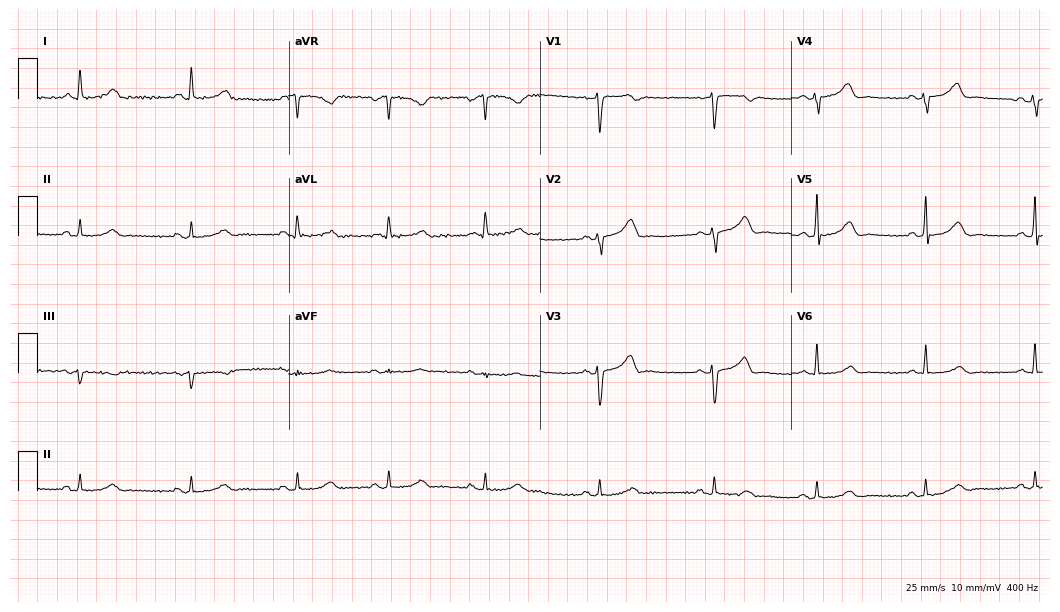
12-lead ECG from a 70-year-old female. Recorded interpretation: within normal limits.